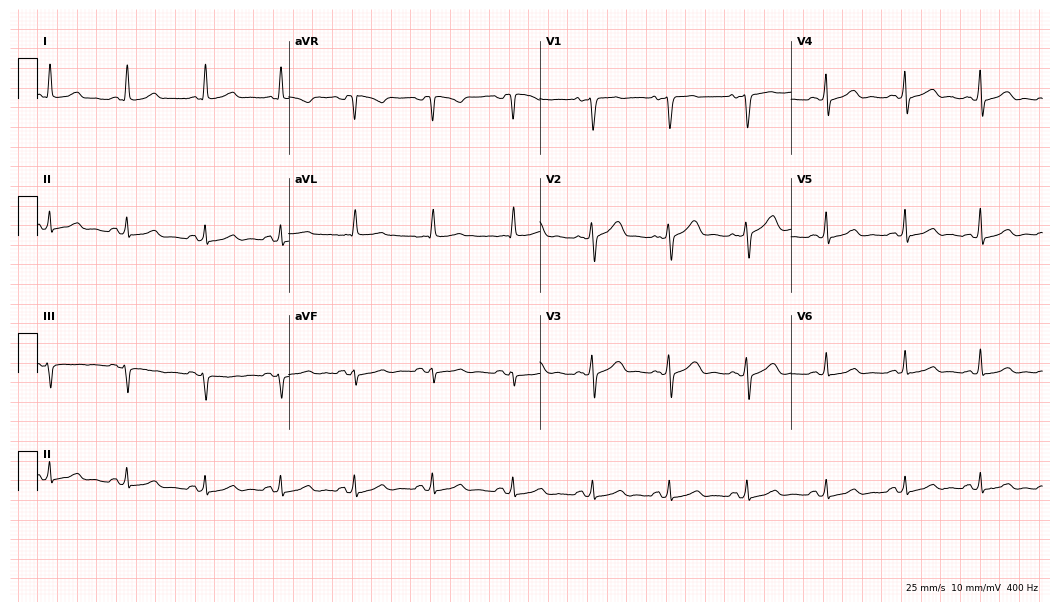
Resting 12-lead electrocardiogram. Patient: a 52-year-old female. Read as a normal ECG.